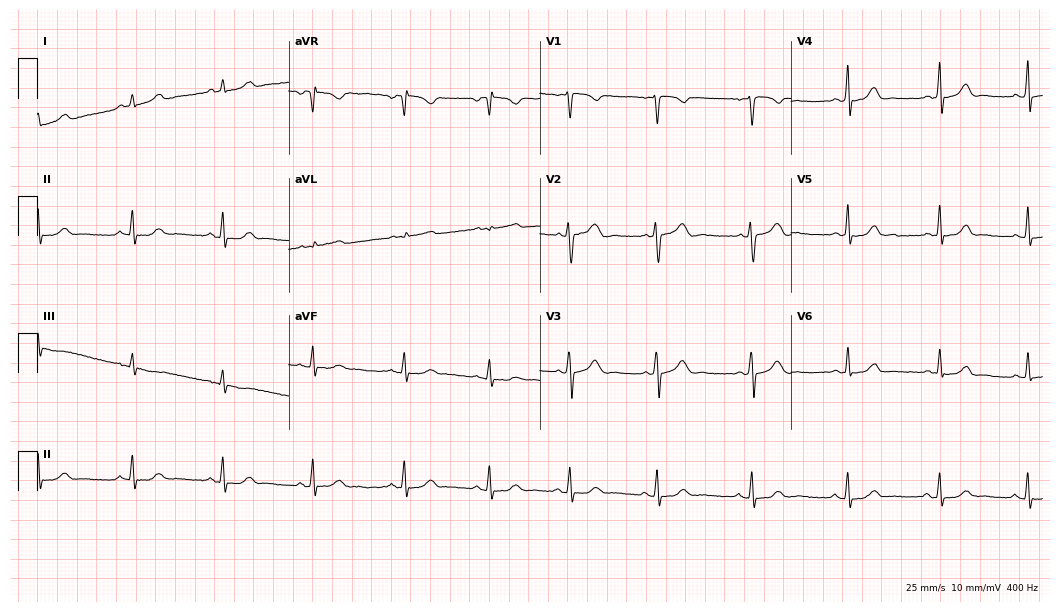
Resting 12-lead electrocardiogram. Patient: a woman, 19 years old. None of these six findings is recorded: first-degree AV block, right bundle branch block, left bundle branch block, sinus bradycardia, atrial fibrillation, sinus tachycardia. Findings outside these six are not listed.